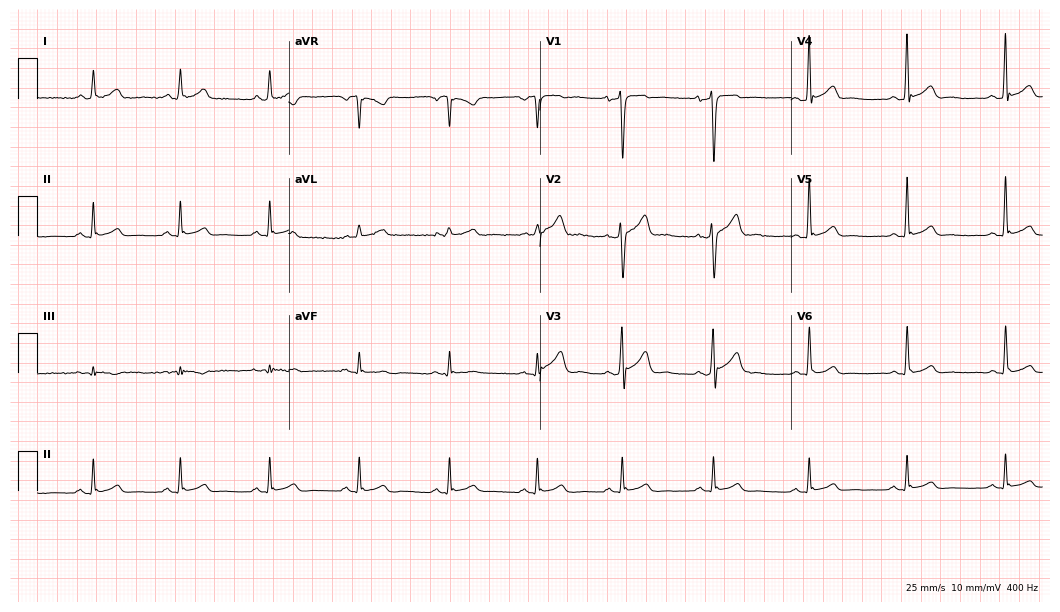
Resting 12-lead electrocardiogram. Patient: a male, 42 years old. Read as a normal ECG.